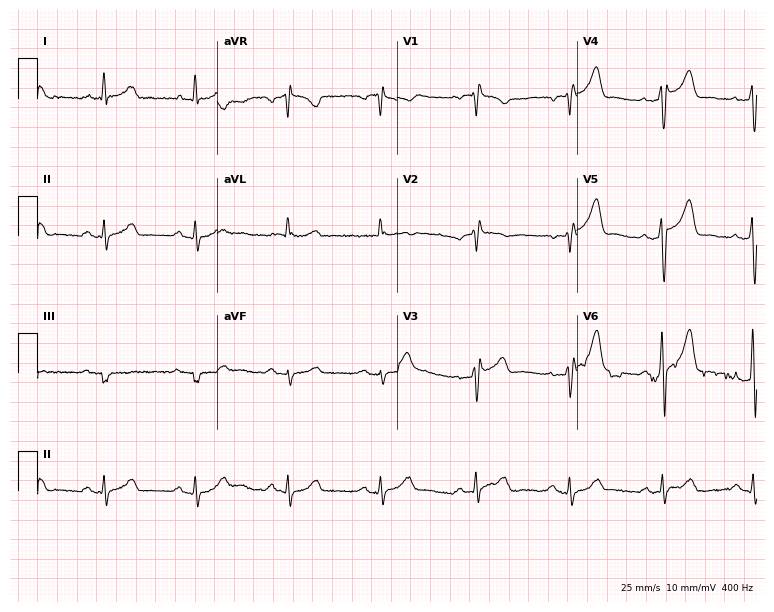
12-lead ECG from a man, 78 years old. Screened for six findings — first-degree AV block, right bundle branch block, left bundle branch block, sinus bradycardia, atrial fibrillation, sinus tachycardia — none is recorded.